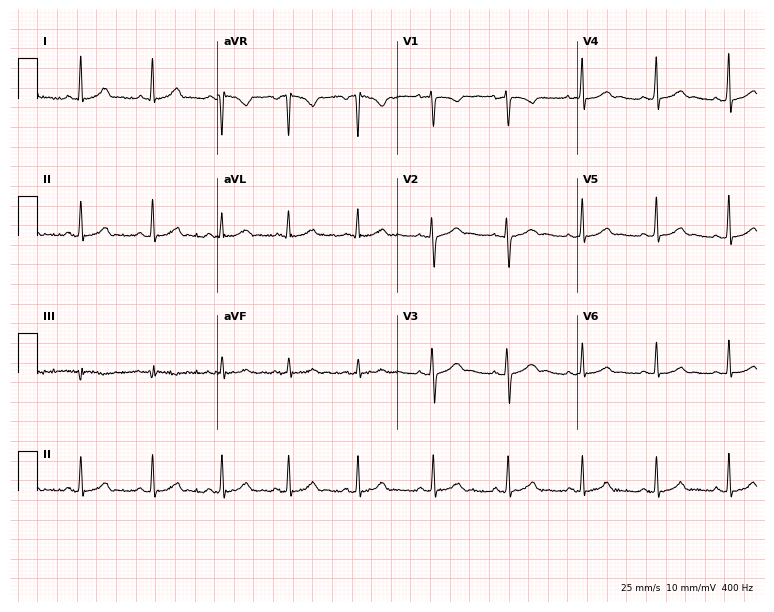
12-lead ECG from a 29-year-old female (7.3-second recording at 400 Hz). Recorded interpretation: within normal limits.